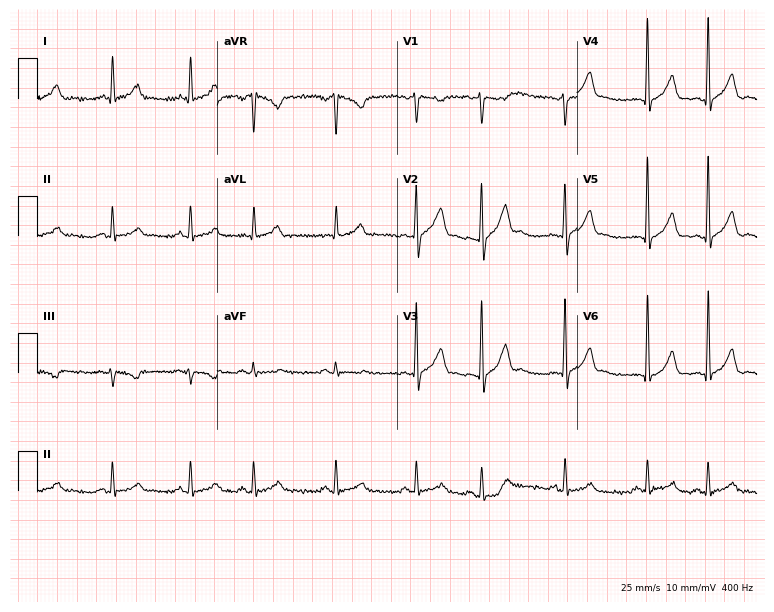
12-lead ECG from a man, 59 years old. No first-degree AV block, right bundle branch block, left bundle branch block, sinus bradycardia, atrial fibrillation or sinus tachycardia recorded for this tracing. Only these six findings were labelled.